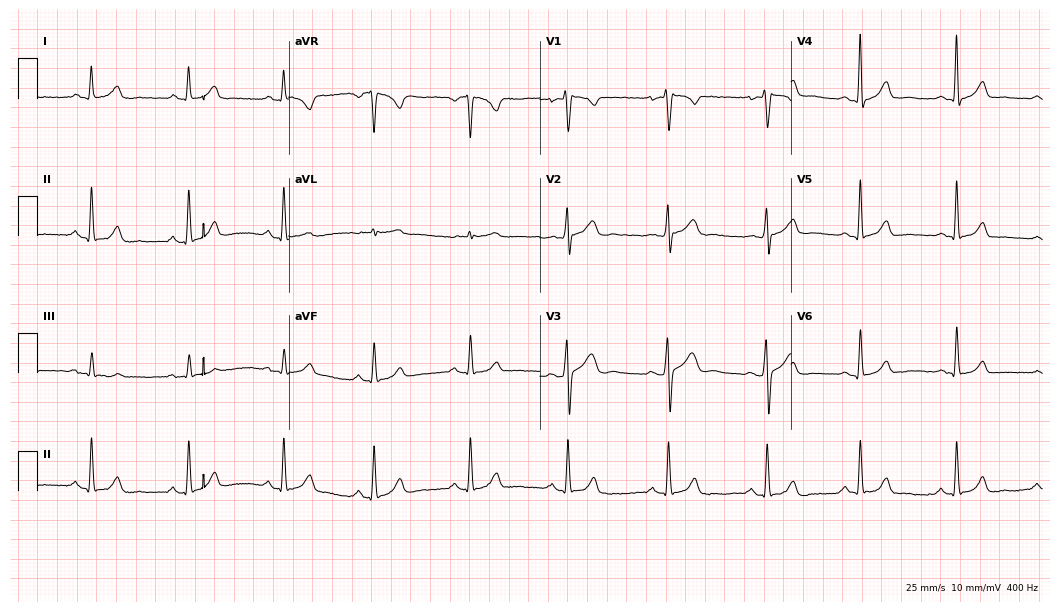
12-lead ECG from a female patient, 38 years old (10.2-second recording at 400 Hz). Recorded interpretation: within normal limits.